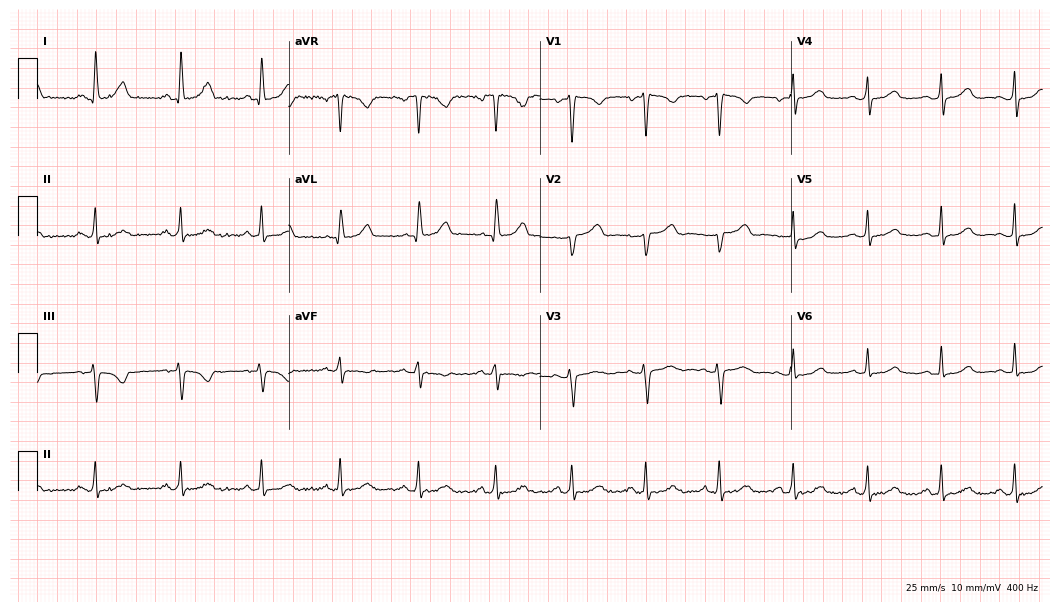
Electrocardiogram, a 45-year-old female. Of the six screened findings (first-degree AV block, right bundle branch block, left bundle branch block, sinus bradycardia, atrial fibrillation, sinus tachycardia), none is recorded.